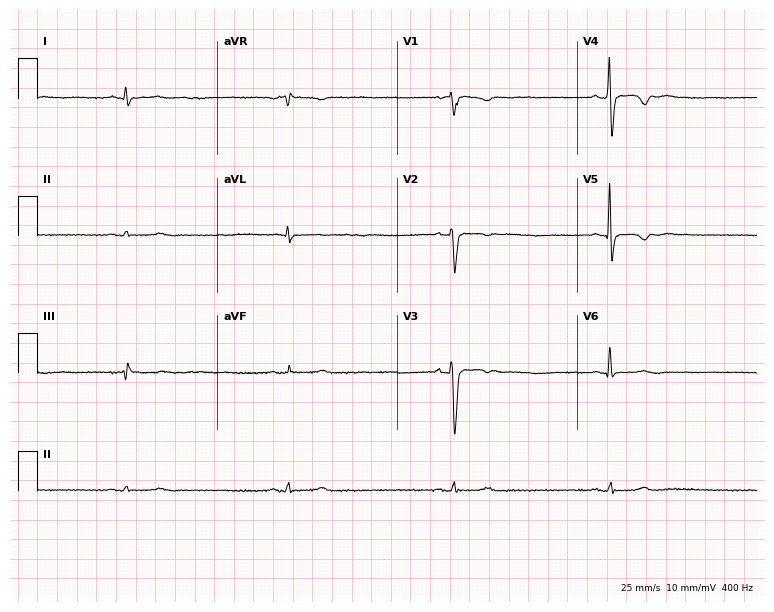
Standard 12-lead ECG recorded from a man, 32 years old. The tracing shows sinus bradycardia (a sinus rate of 50 beats per minute or less).